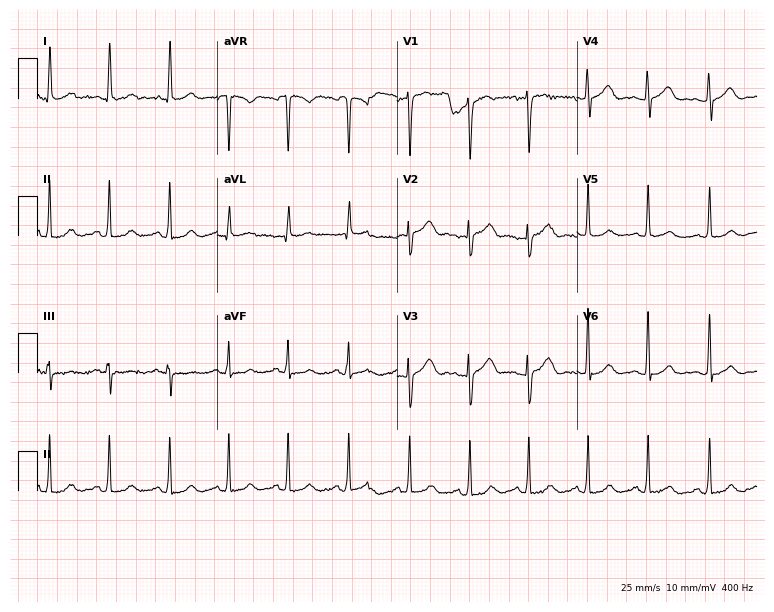
12-lead ECG from a 34-year-old woman (7.3-second recording at 400 Hz). Recorded interpretation: within normal limits.